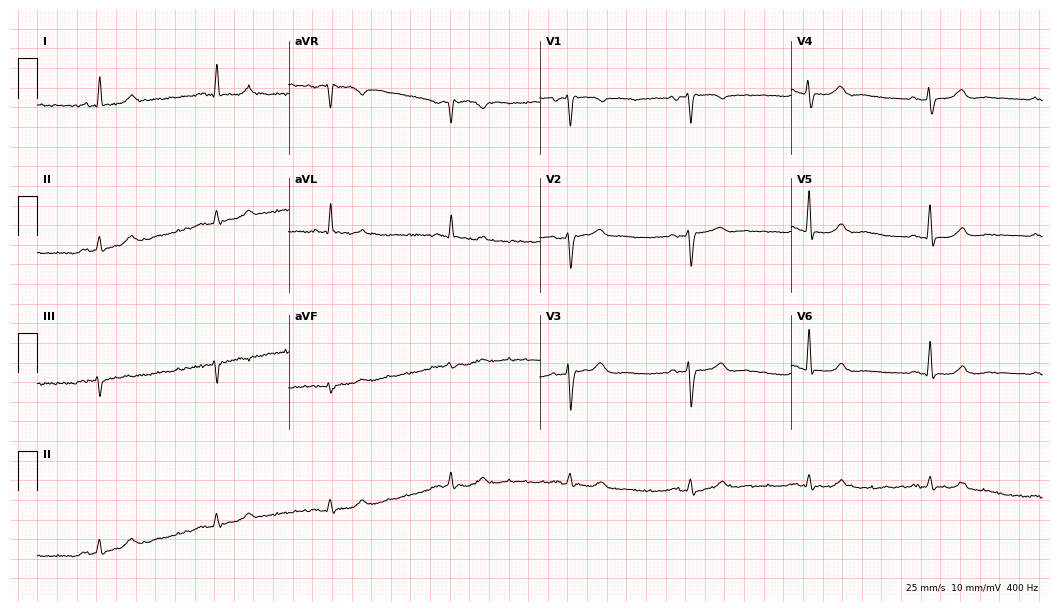
Electrocardiogram (10.2-second recording at 400 Hz), a 76-year-old male. Of the six screened findings (first-degree AV block, right bundle branch block (RBBB), left bundle branch block (LBBB), sinus bradycardia, atrial fibrillation (AF), sinus tachycardia), none is recorded.